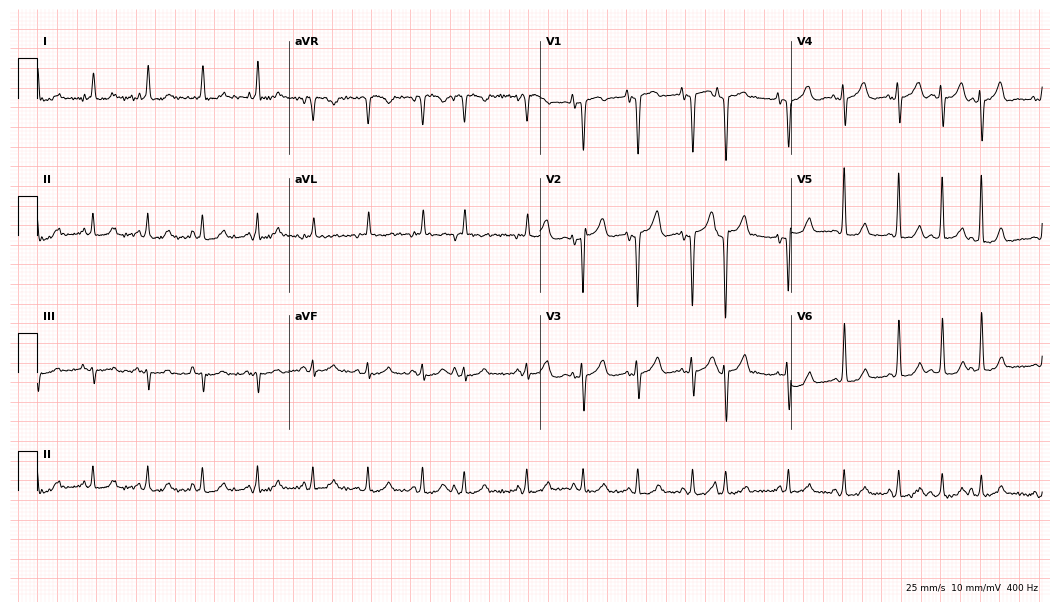
Standard 12-lead ECG recorded from a female patient, 79 years old (10.2-second recording at 400 Hz). The tracing shows sinus tachycardia (a sinus rate of 100 beats per minute or more).